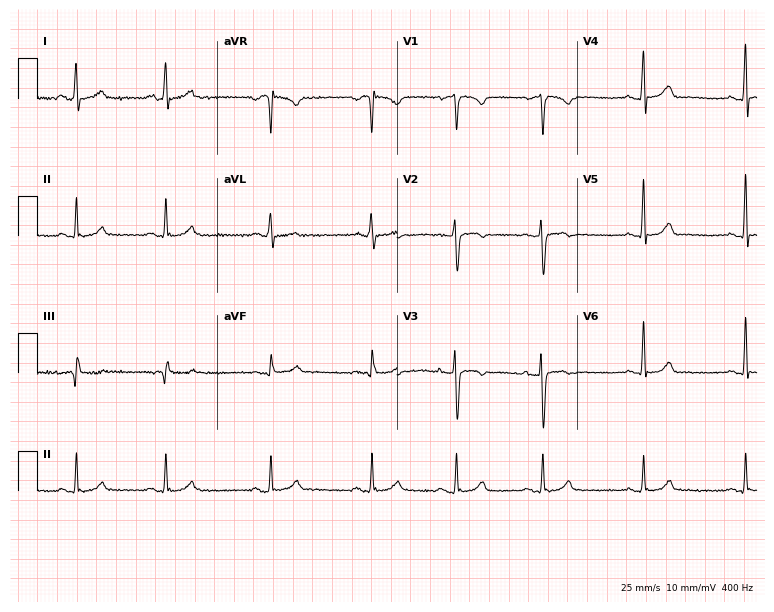
ECG (7.3-second recording at 400 Hz) — a 24-year-old woman. Labelled as a normal ECG.